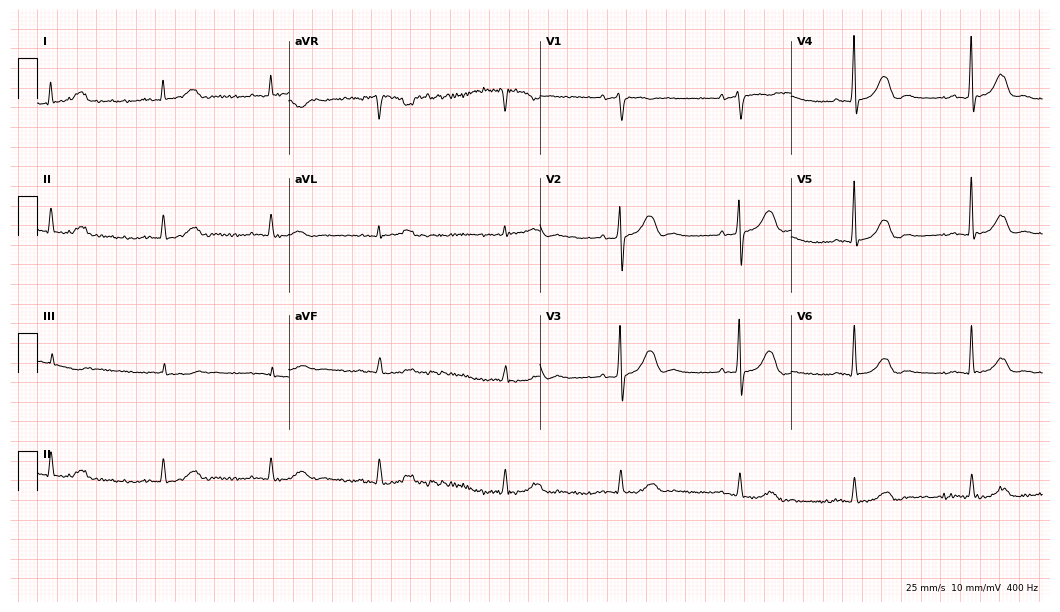
ECG — a female patient, 71 years old. Labelled as a normal ECG.